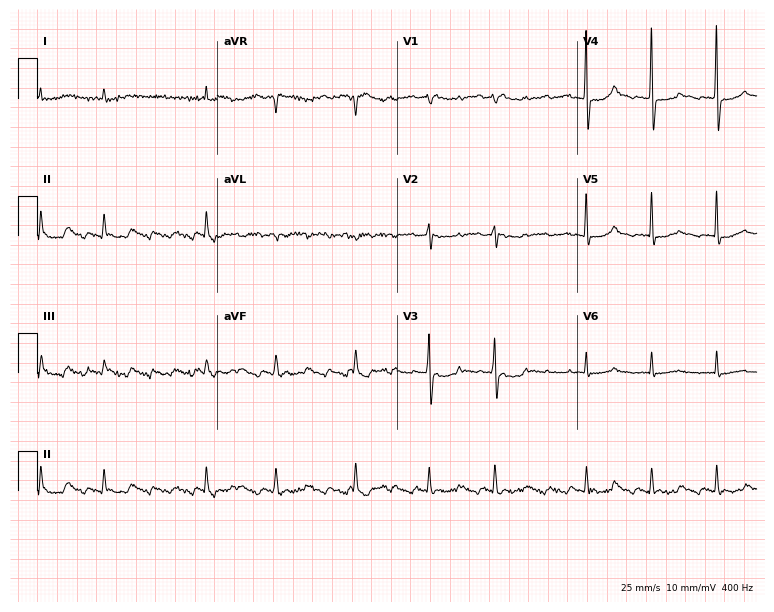
Electrocardiogram (7.3-second recording at 400 Hz), a male patient, 79 years old. Of the six screened findings (first-degree AV block, right bundle branch block (RBBB), left bundle branch block (LBBB), sinus bradycardia, atrial fibrillation (AF), sinus tachycardia), none is recorded. Other findings, if any, are not listed.